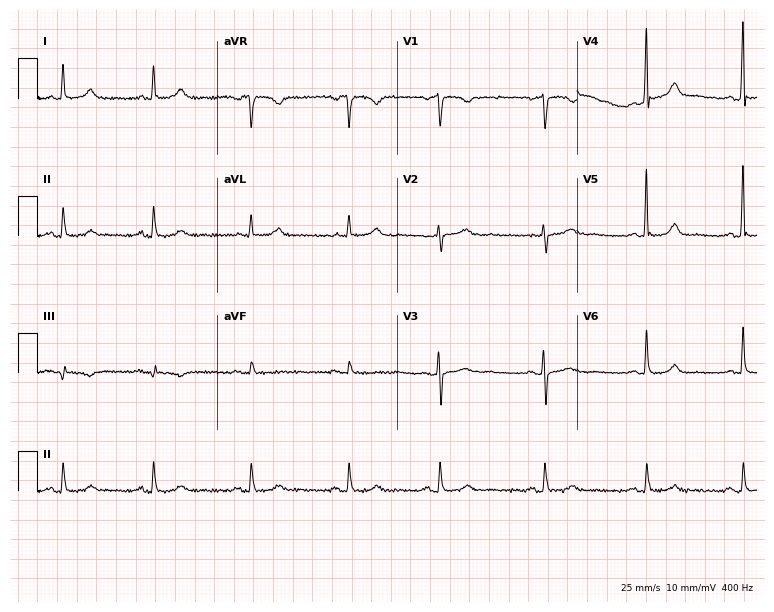
12-lead ECG (7.3-second recording at 400 Hz) from a female patient, 69 years old. Labelled as a normal ECG.